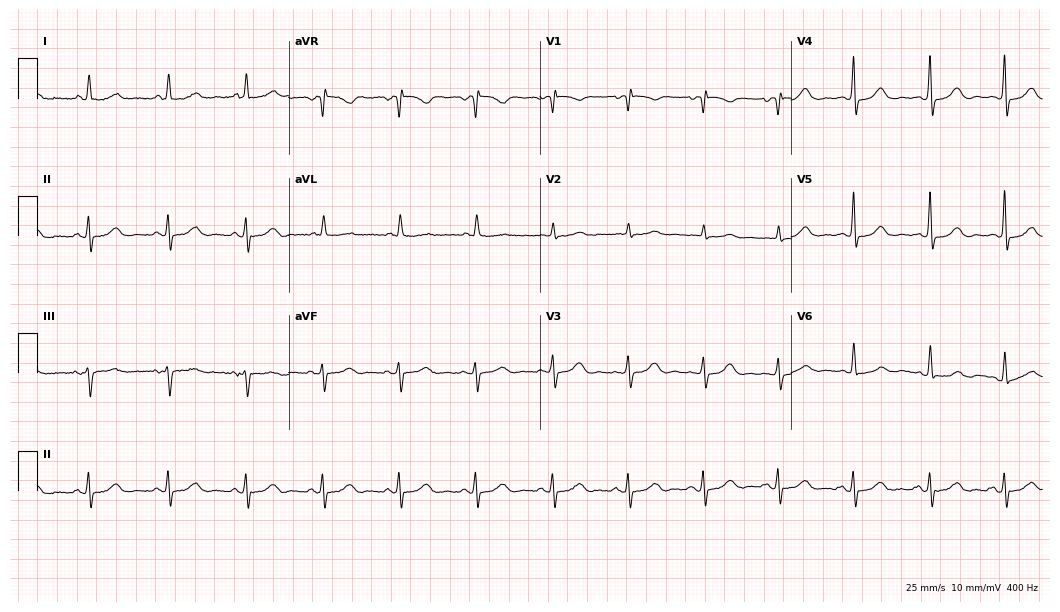
Resting 12-lead electrocardiogram. Patient: a female, 78 years old. Read as a normal ECG.